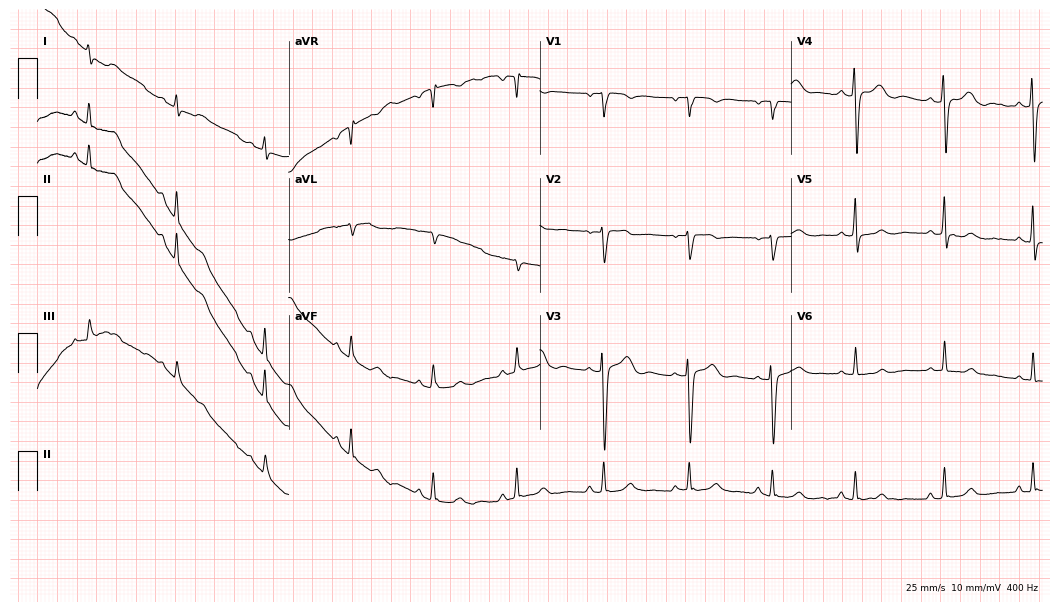
Electrocardiogram (10.2-second recording at 400 Hz), a 38-year-old woman. Of the six screened findings (first-degree AV block, right bundle branch block, left bundle branch block, sinus bradycardia, atrial fibrillation, sinus tachycardia), none is recorded. Other findings, if any, are not listed.